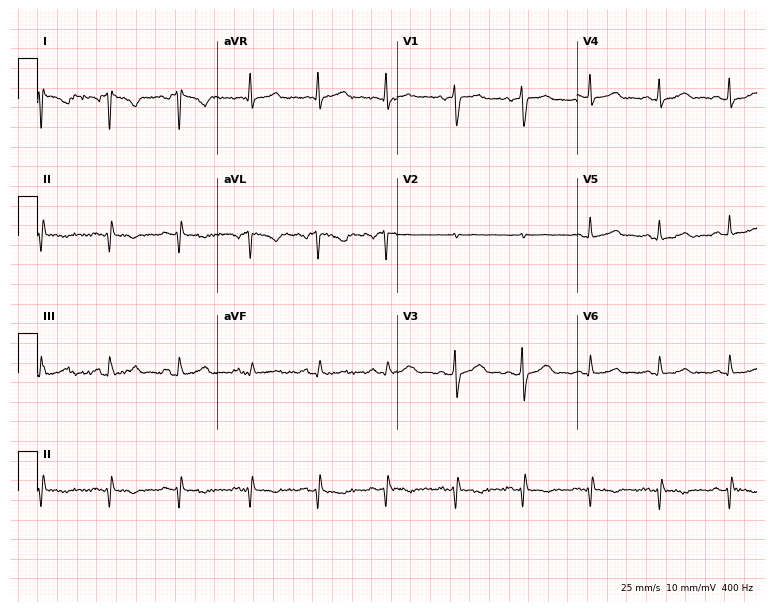
Resting 12-lead electrocardiogram (7.3-second recording at 400 Hz). Patient: a female, 50 years old. None of these six findings is recorded: first-degree AV block, right bundle branch block, left bundle branch block, sinus bradycardia, atrial fibrillation, sinus tachycardia.